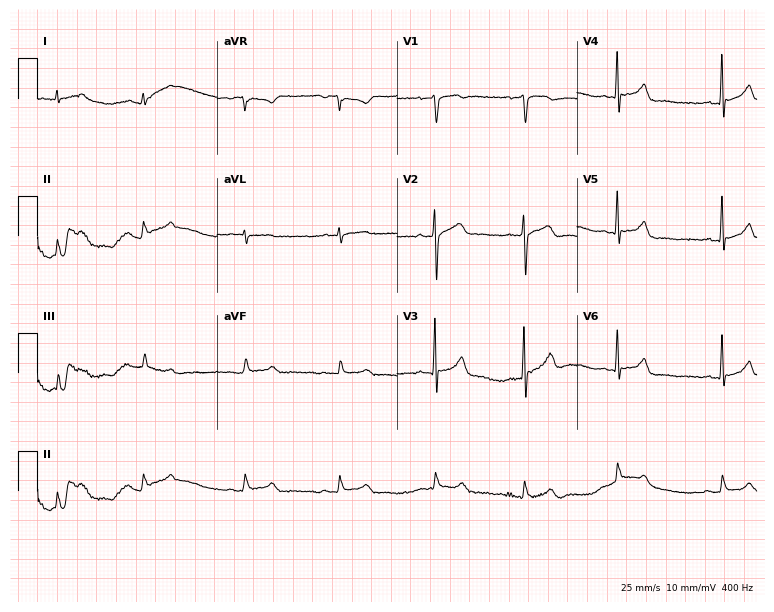
Standard 12-lead ECG recorded from a 42-year-old man. None of these six findings is recorded: first-degree AV block, right bundle branch block, left bundle branch block, sinus bradycardia, atrial fibrillation, sinus tachycardia.